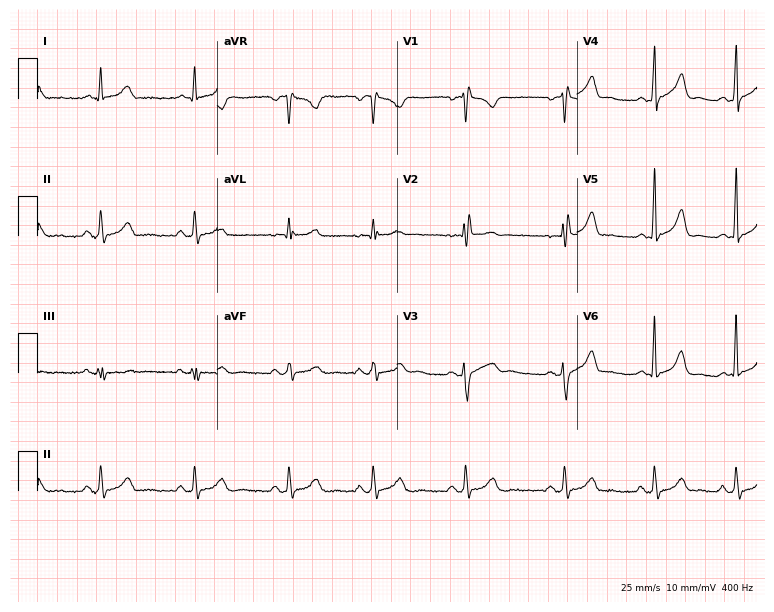
Resting 12-lead electrocardiogram. Patient: a woman, 30 years old. None of these six findings is recorded: first-degree AV block, right bundle branch block, left bundle branch block, sinus bradycardia, atrial fibrillation, sinus tachycardia.